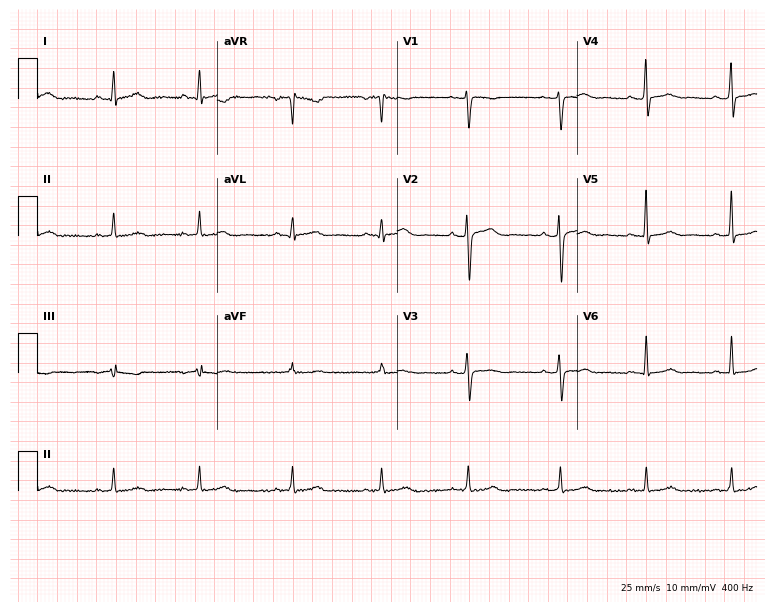
ECG (7.3-second recording at 400 Hz) — a 41-year-old female patient. Screened for six findings — first-degree AV block, right bundle branch block, left bundle branch block, sinus bradycardia, atrial fibrillation, sinus tachycardia — none is recorded.